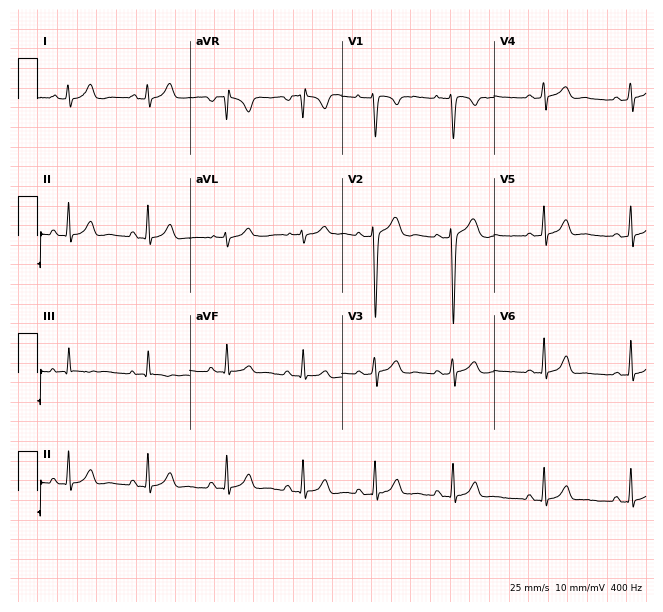
ECG — a female, 17 years old. Screened for six findings — first-degree AV block, right bundle branch block (RBBB), left bundle branch block (LBBB), sinus bradycardia, atrial fibrillation (AF), sinus tachycardia — none is recorded. Only these six findings were labelled.